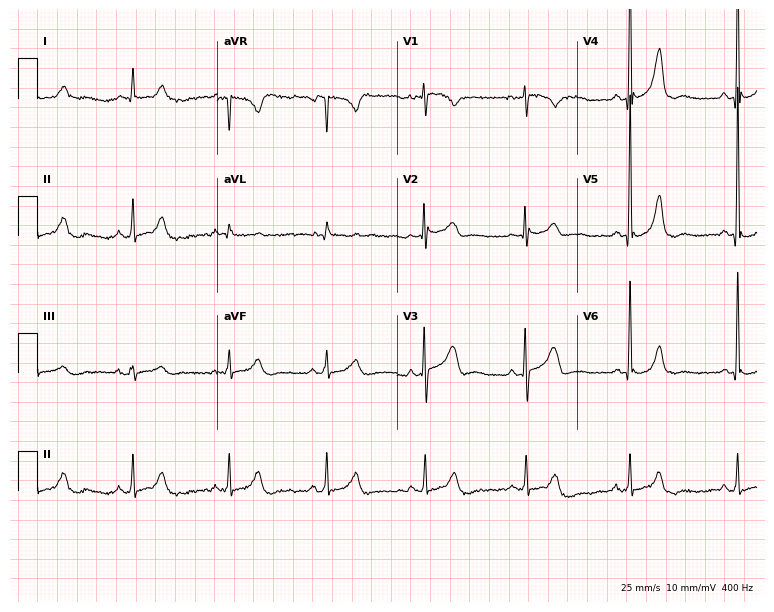
Electrocardiogram (7.3-second recording at 400 Hz), a male, 85 years old. Overall reading on record: normal ECG.